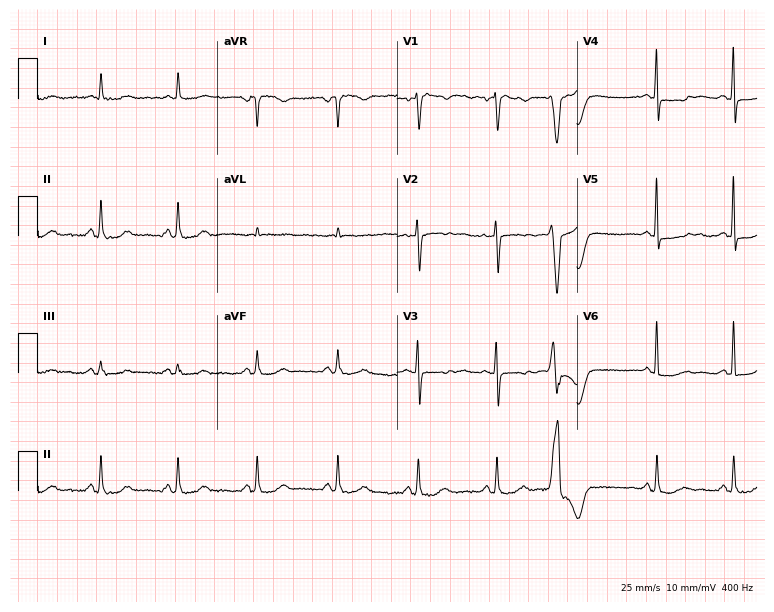
12-lead ECG (7.3-second recording at 400 Hz) from a female, 61 years old. Labelled as a normal ECG.